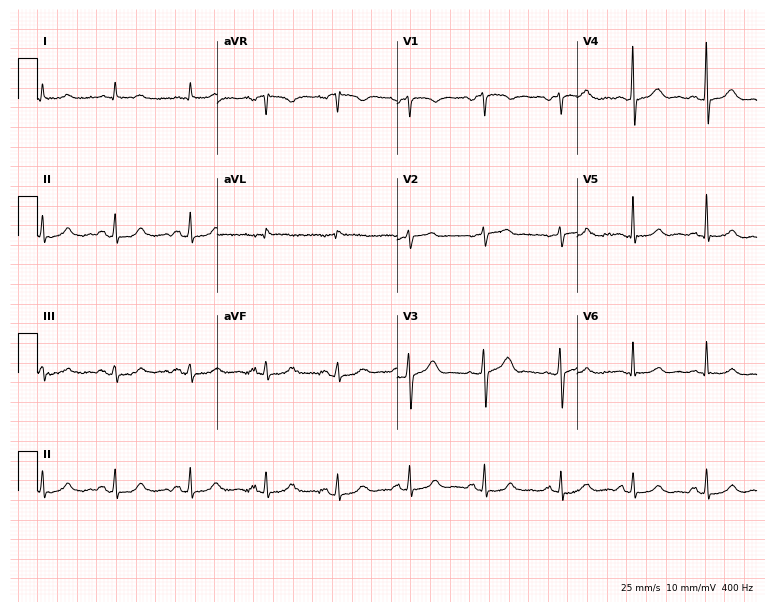
12-lead ECG from a 77-year-old man. No first-degree AV block, right bundle branch block, left bundle branch block, sinus bradycardia, atrial fibrillation or sinus tachycardia recorded for this tracing.